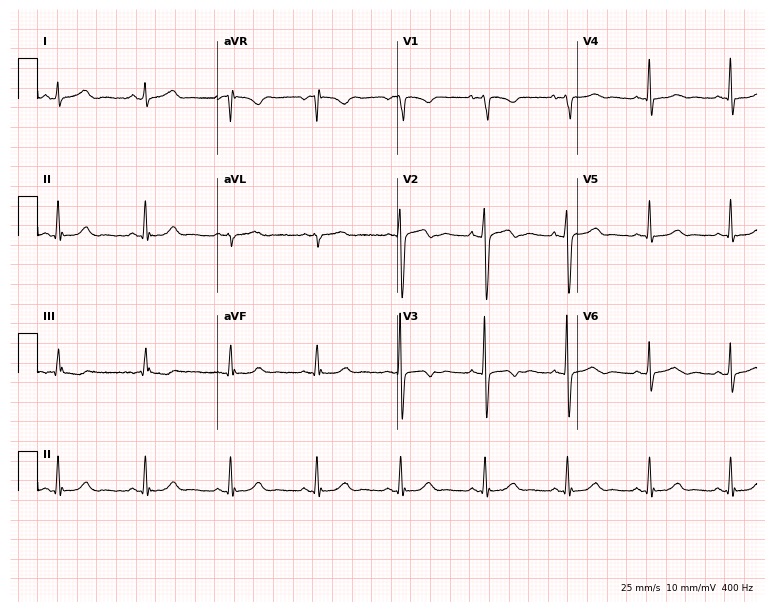
ECG (7.3-second recording at 400 Hz) — a 42-year-old female. Labelled as a normal ECG.